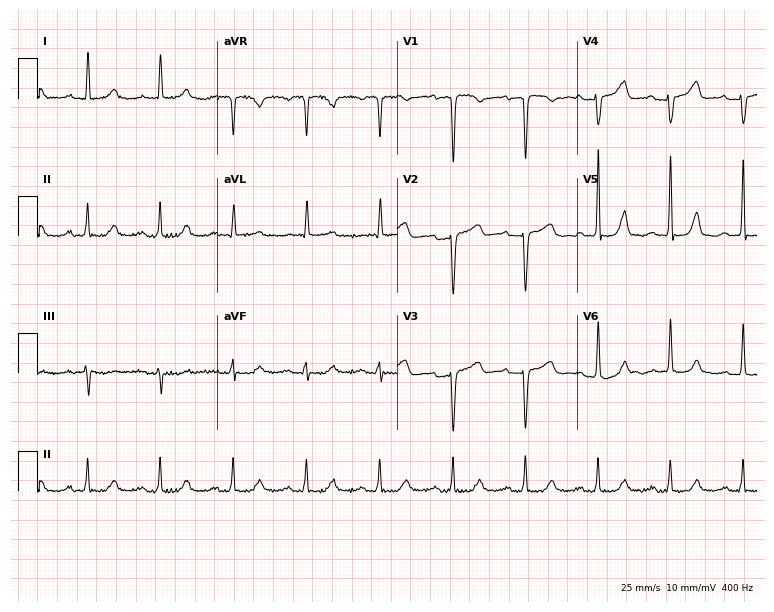
Standard 12-lead ECG recorded from a 58-year-old female. Read as a normal ECG.